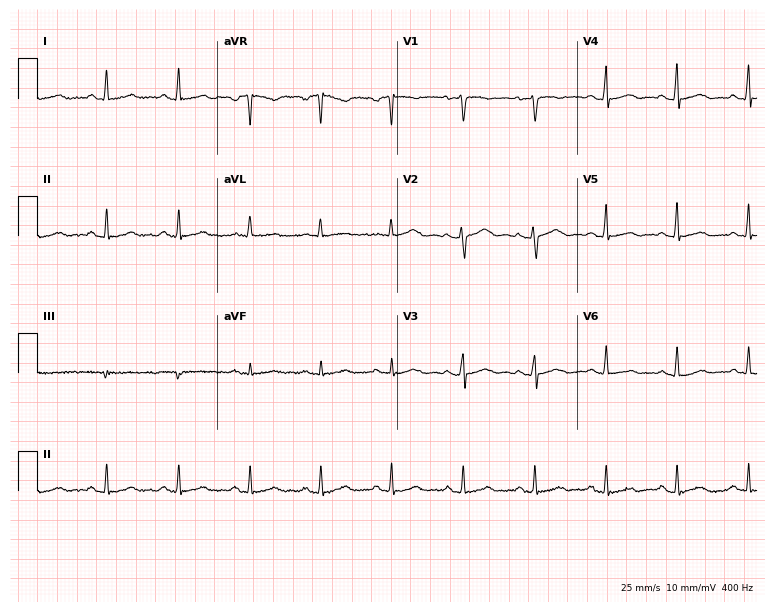
12-lead ECG from a woman, 52 years old (7.3-second recording at 400 Hz). No first-degree AV block, right bundle branch block, left bundle branch block, sinus bradycardia, atrial fibrillation or sinus tachycardia recorded for this tracing. Findings outside these six are not listed.